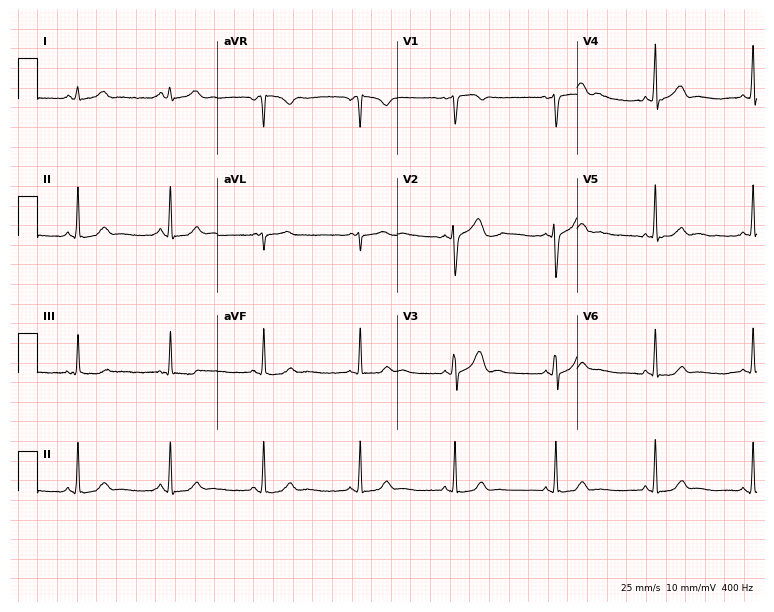
ECG (7.3-second recording at 400 Hz) — a female patient, 29 years old. Screened for six findings — first-degree AV block, right bundle branch block, left bundle branch block, sinus bradycardia, atrial fibrillation, sinus tachycardia — none is recorded. Other findings, if any, are not listed.